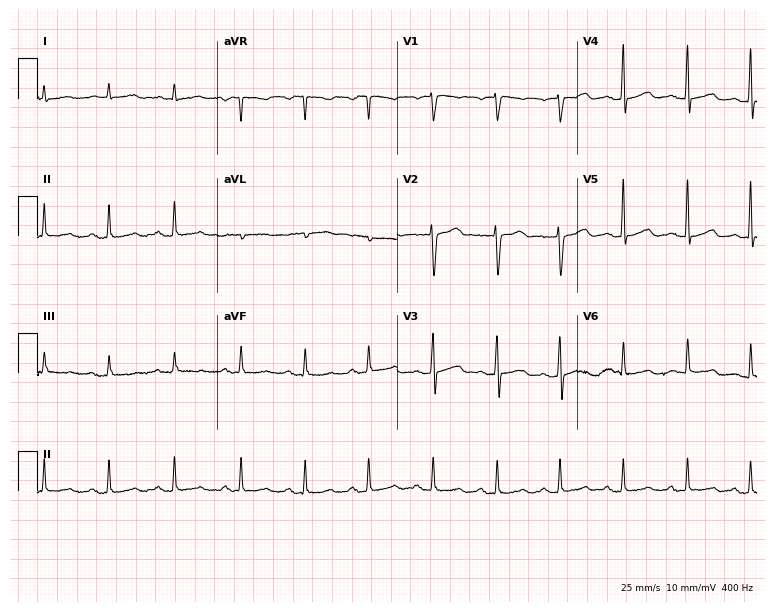
Electrocardiogram (7.3-second recording at 400 Hz), a female, 44 years old. Of the six screened findings (first-degree AV block, right bundle branch block, left bundle branch block, sinus bradycardia, atrial fibrillation, sinus tachycardia), none is recorded.